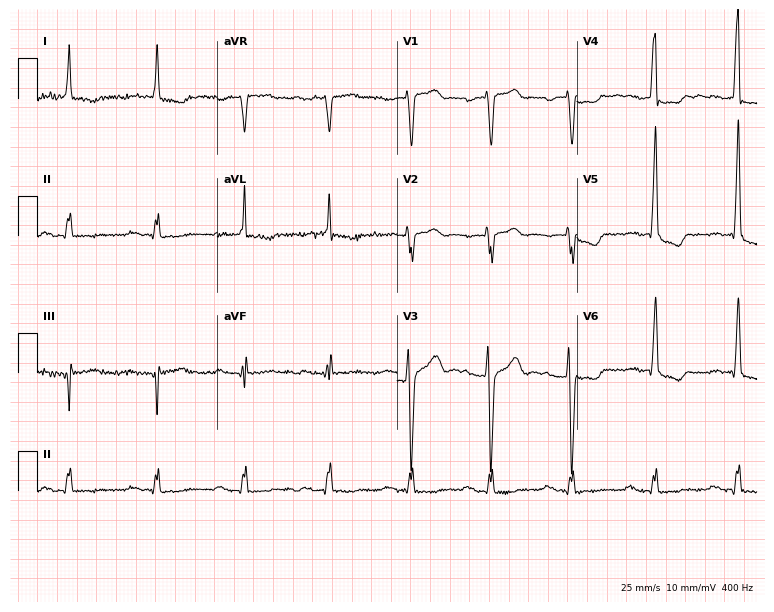
12-lead ECG (7.3-second recording at 400 Hz) from a 63-year-old man. Screened for six findings — first-degree AV block, right bundle branch block, left bundle branch block, sinus bradycardia, atrial fibrillation, sinus tachycardia — none is recorded. Other findings, if any, are not listed.